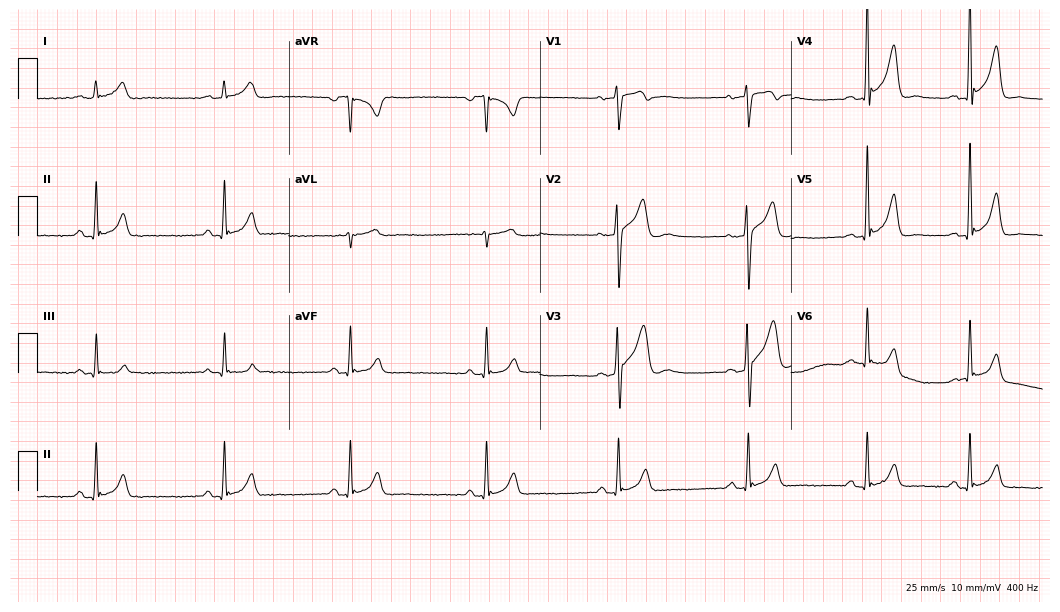
Resting 12-lead electrocardiogram. Patient: a 37-year-old man. The tracing shows sinus bradycardia (a sinus rate of 50 beats per minute or less).